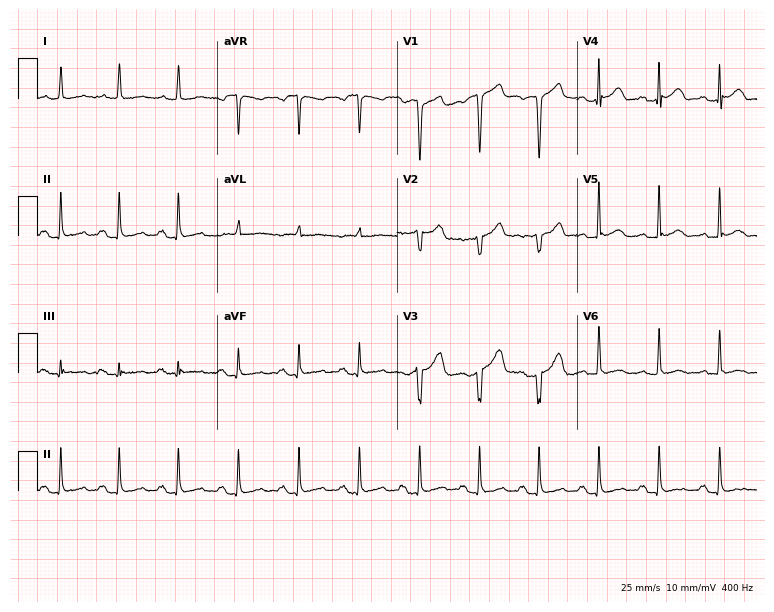
12-lead ECG from a male patient, 47 years old. Labelled as a normal ECG.